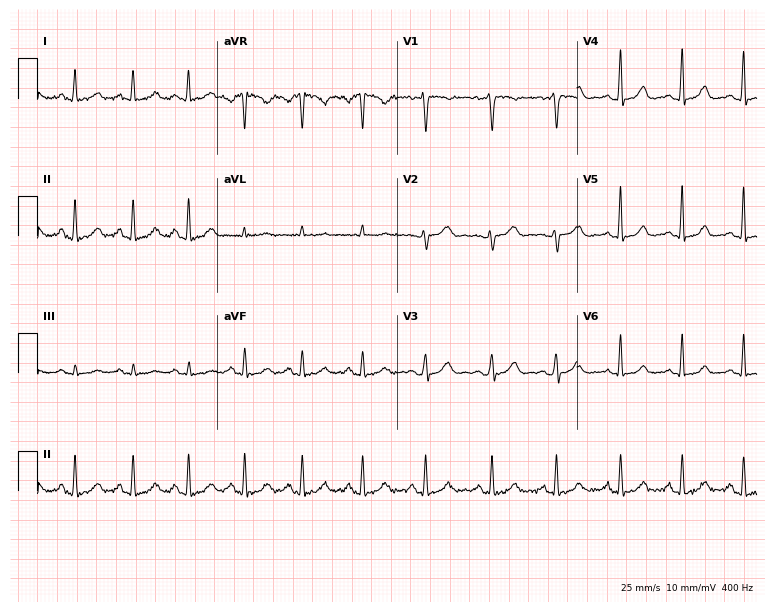
Standard 12-lead ECG recorded from a 35-year-old female. None of these six findings is recorded: first-degree AV block, right bundle branch block, left bundle branch block, sinus bradycardia, atrial fibrillation, sinus tachycardia.